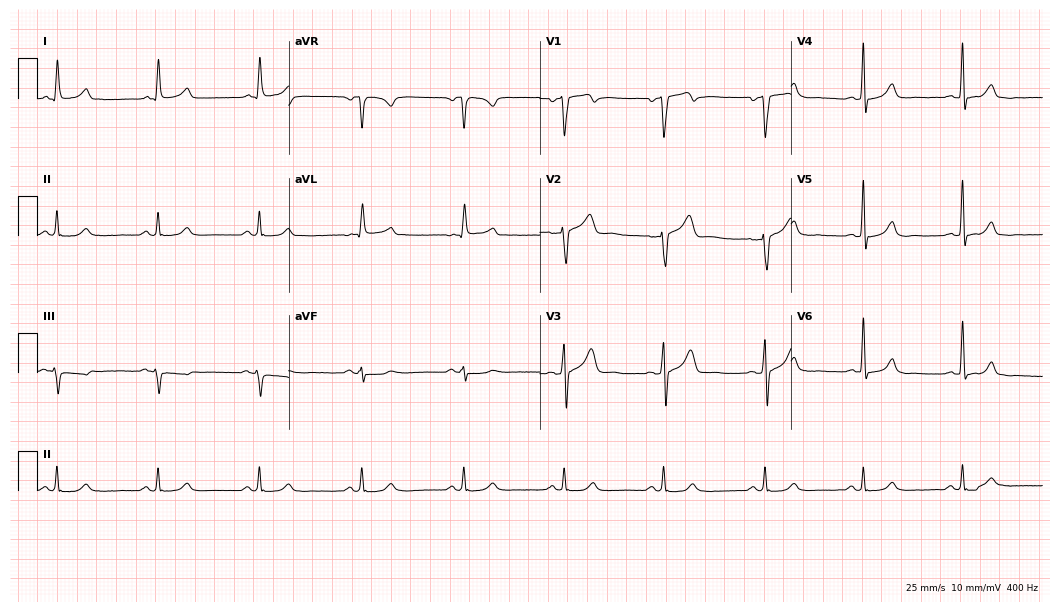
ECG — a female patient, 46 years old. Labelled as a normal ECG.